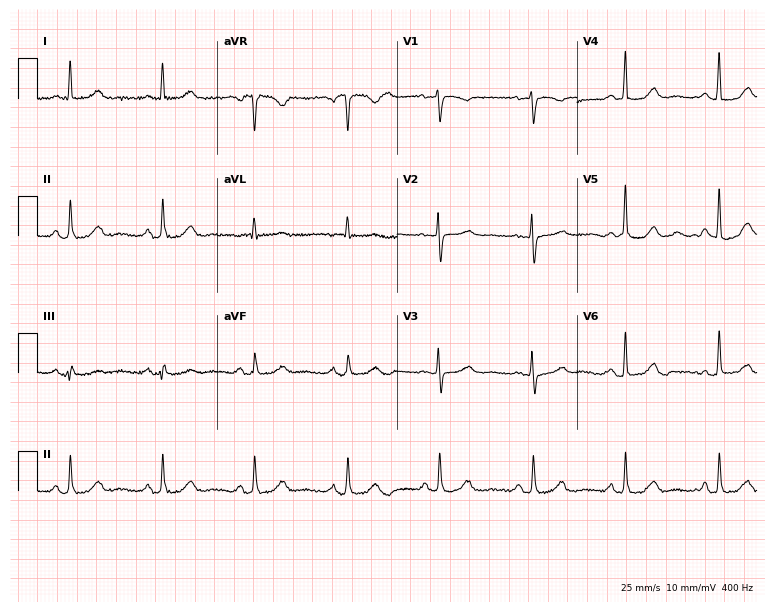
12-lead ECG from an 83-year-old female patient (7.3-second recording at 400 Hz). Recorded interpretation: within normal limits.